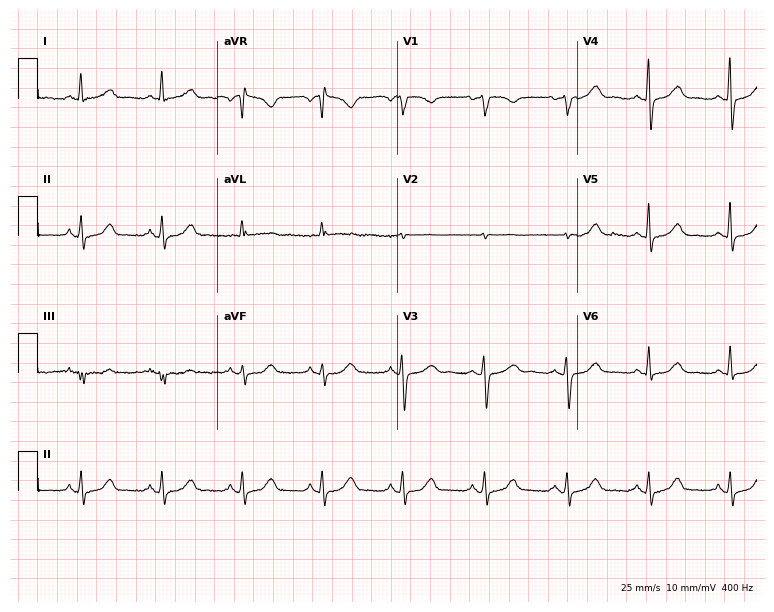
ECG — a 55-year-old female. Labelled as a normal ECG.